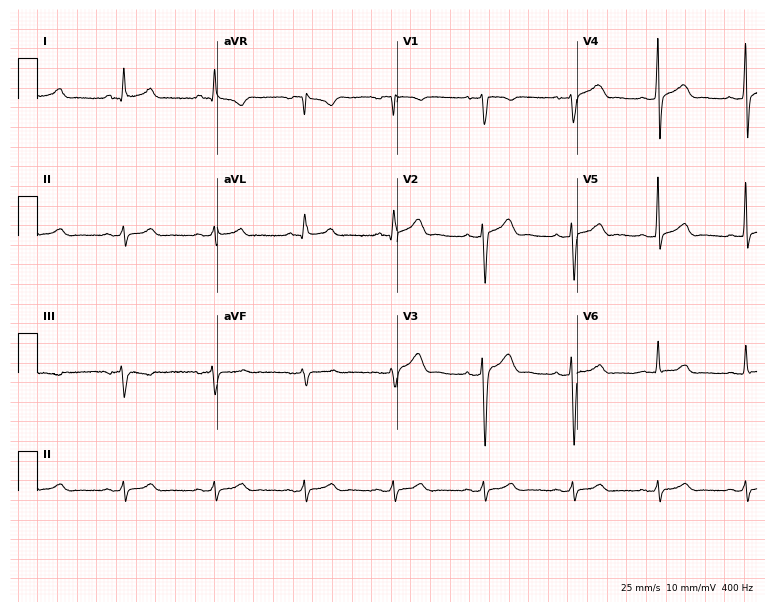
12-lead ECG from a 28-year-old man. Recorded interpretation: within normal limits.